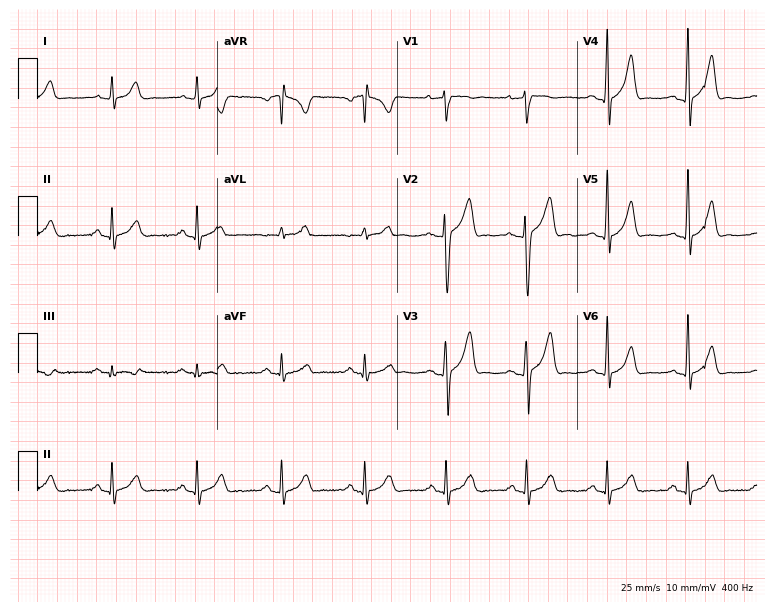
Standard 12-lead ECG recorded from a 48-year-old male (7.3-second recording at 400 Hz). Read as a normal ECG.